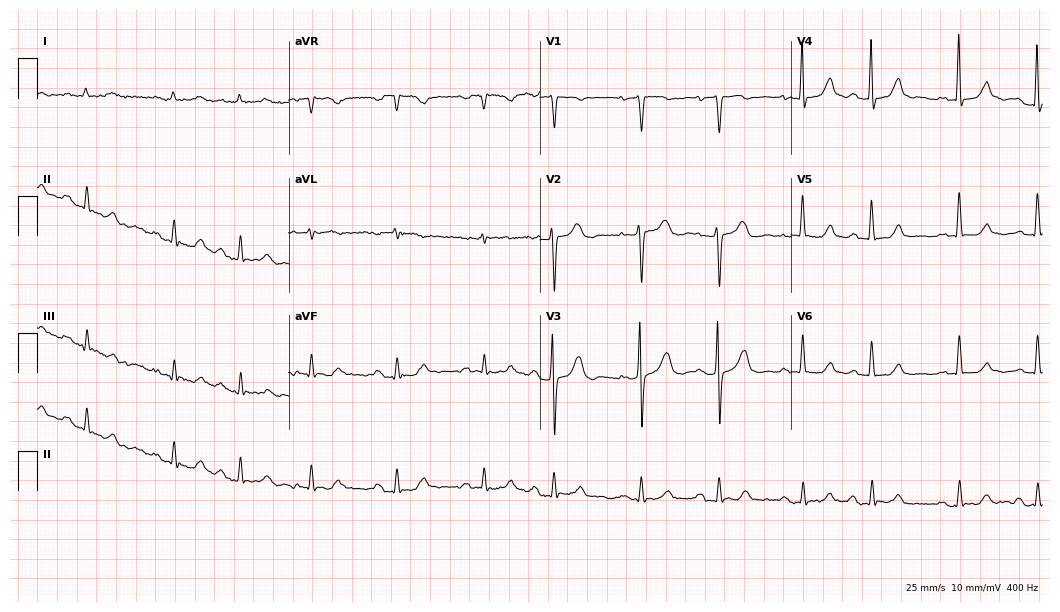
12-lead ECG from a 79-year-old female patient. Findings include first-degree AV block.